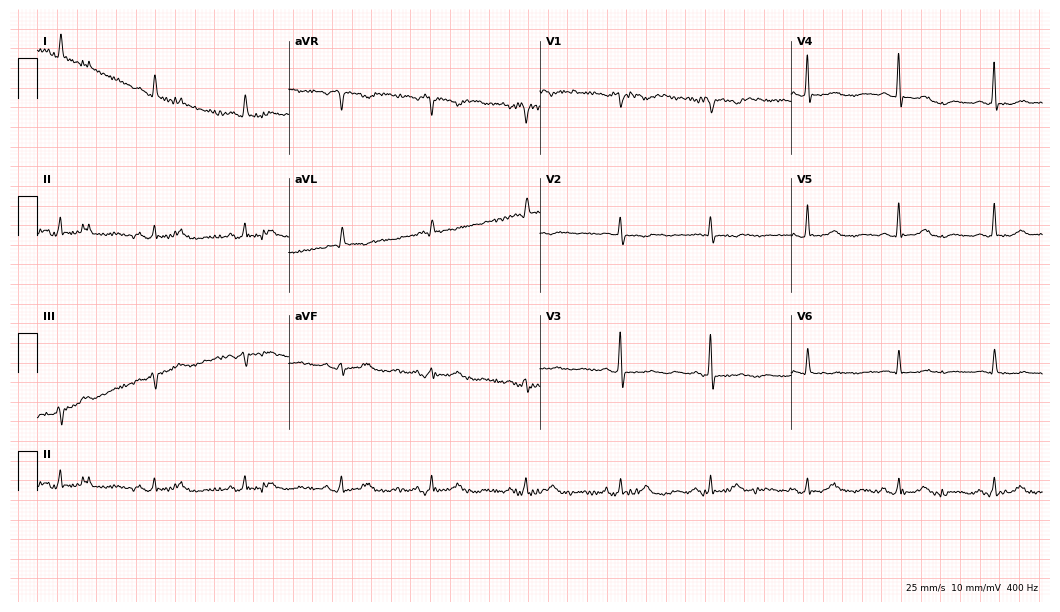
Resting 12-lead electrocardiogram (10.2-second recording at 400 Hz). Patient: a 72-year-old female. None of these six findings is recorded: first-degree AV block, right bundle branch block, left bundle branch block, sinus bradycardia, atrial fibrillation, sinus tachycardia.